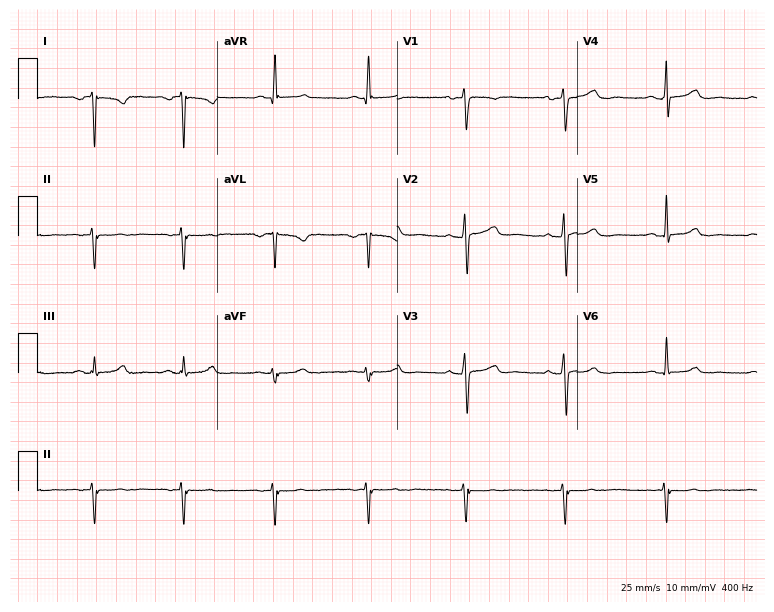
12-lead ECG from a 48-year-old female patient. Labelled as a normal ECG.